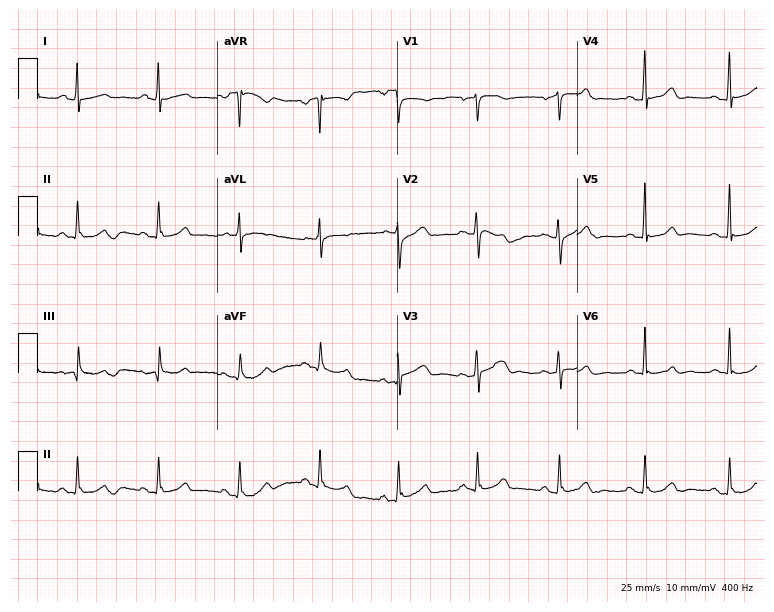
Standard 12-lead ECG recorded from a female, 59 years old (7.3-second recording at 400 Hz). Read as a normal ECG.